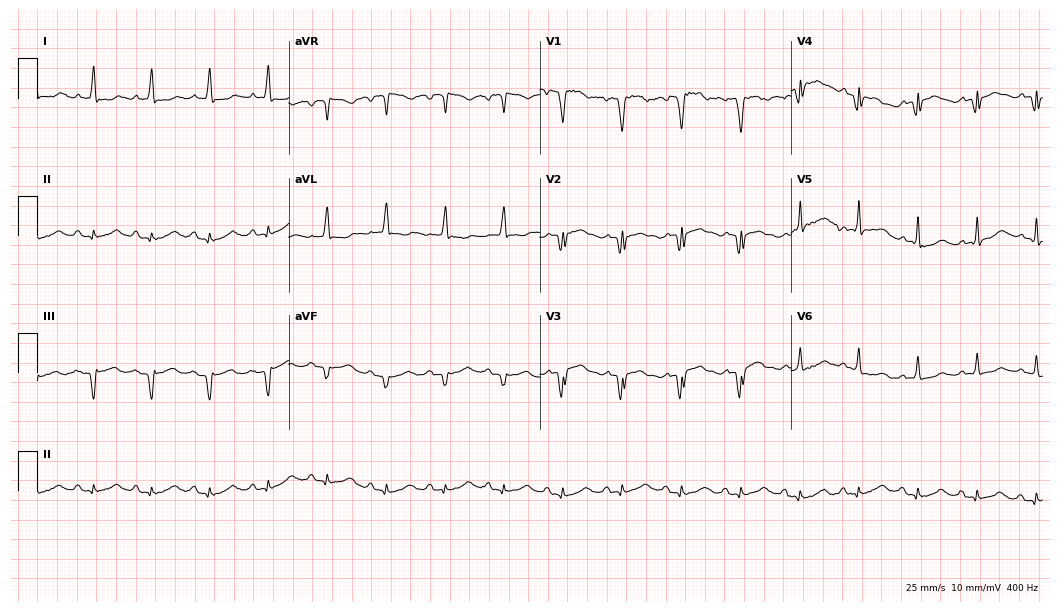
12-lead ECG (10.2-second recording at 400 Hz) from a male patient, 82 years old. Screened for six findings — first-degree AV block, right bundle branch block (RBBB), left bundle branch block (LBBB), sinus bradycardia, atrial fibrillation (AF), sinus tachycardia — none is recorded. Findings outside these six are not listed.